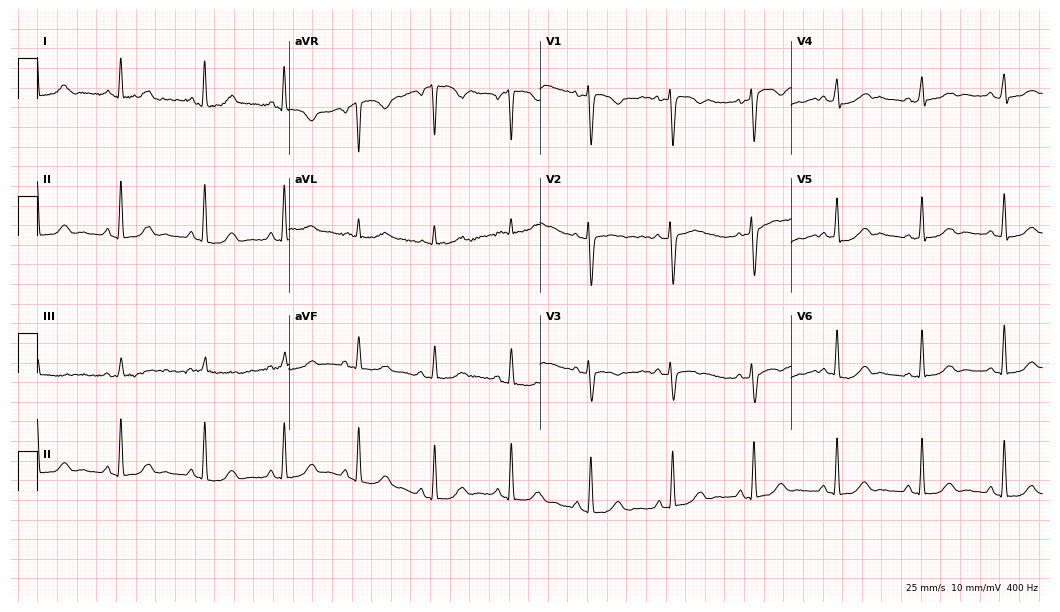
Standard 12-lead ECG recorded from a 56-year-old woman (10.2-second recording at 400 Hz). Read as a normal ECG.